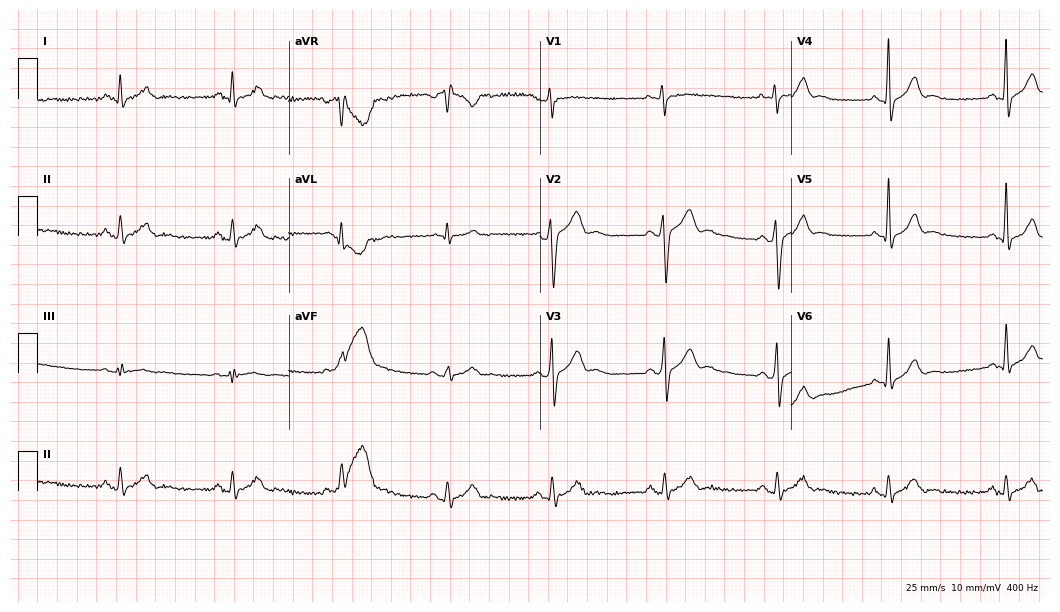
ECG — a man, 38 years old. Screened for six findings — first-degree AV block, right bundle branch block (RBBB), left bundle branch block (LBBB), sinus bradycardia, atrial fibrillation (AF), sinus tachycardia — none is recorded.